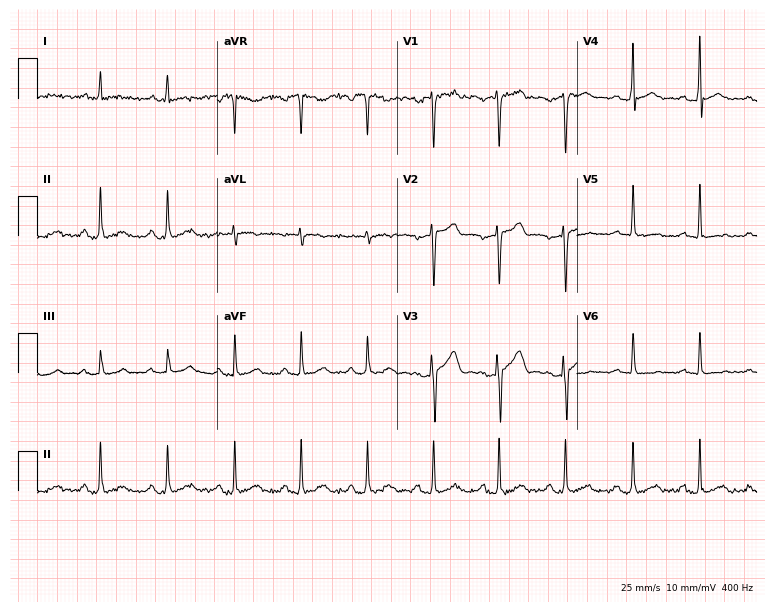
Resting 12-lead electrocardiogram. Patient: a 31-year-old man. Read as a normal ECG.